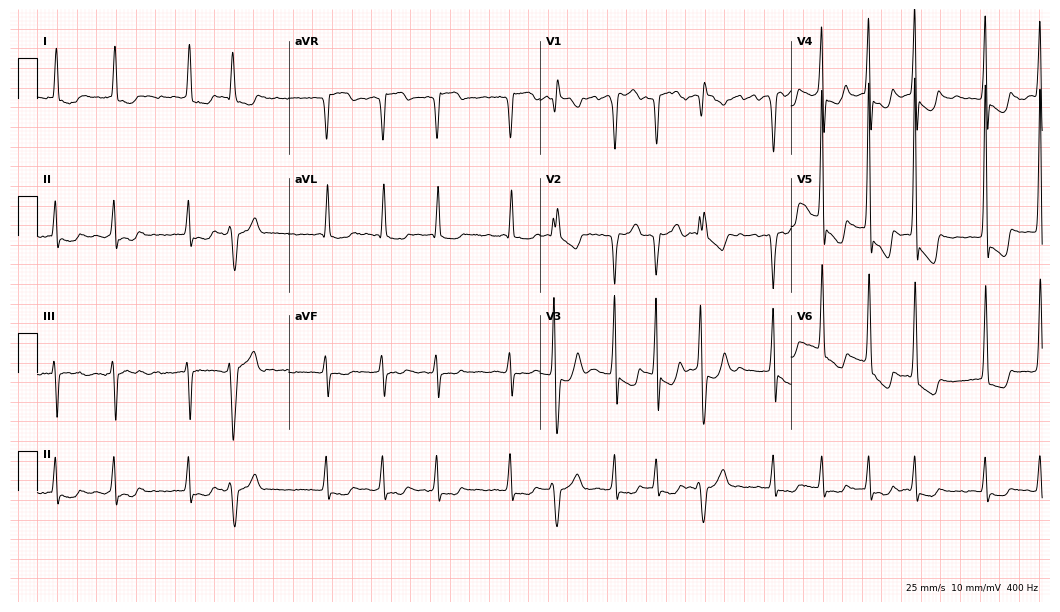
Electrocardiogram, a female patient, 57 years old. Interpretation includes atrial fibrillation.